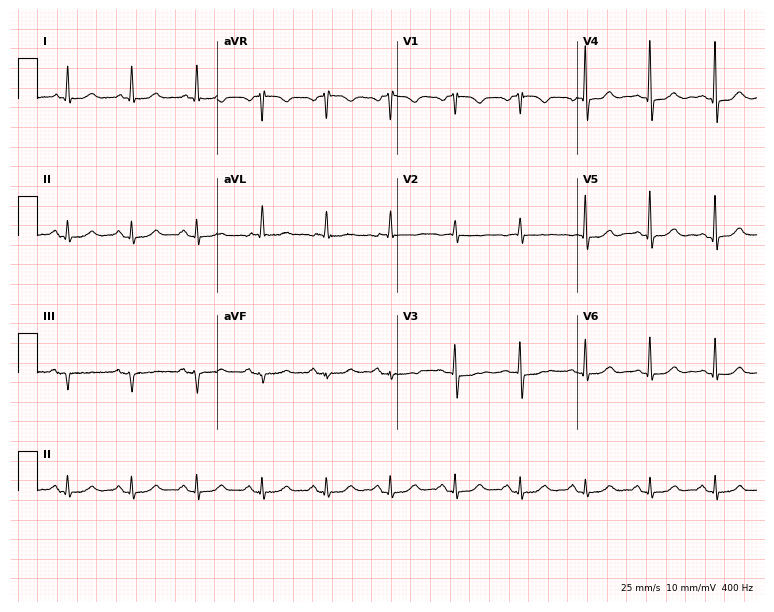
ECG (7.3-second recording at 400 Hz) — an 80-year-old female. Screened for six findings — first-degree AV block, right bundle branch block, left bundle branch block, sinus bradycardia, atrial fibrillation, sinus tachycardia — none is recorded. Only these six findings were labelled.